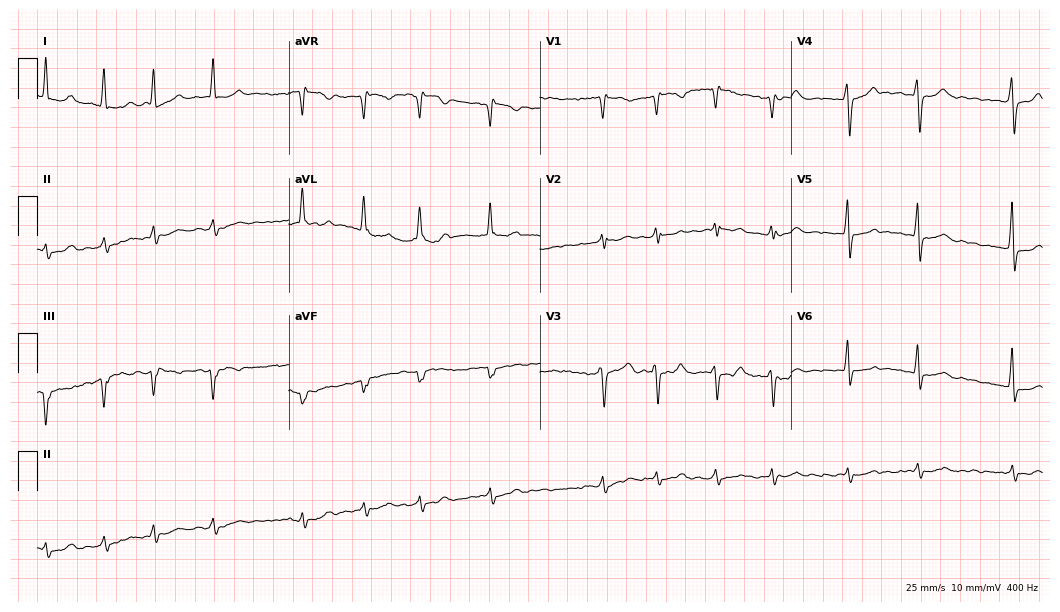
Standard 12-lead ECG recorded from a man, 76 years old (10.2-second recording at 400 Hz). None of these six findings is recorded: first-degree AV block, right bundle branch block (RBBB), left bundle branch block (LBBB), sinus bradycardia, atrial fibrillation (AF), sinus tachycardia.